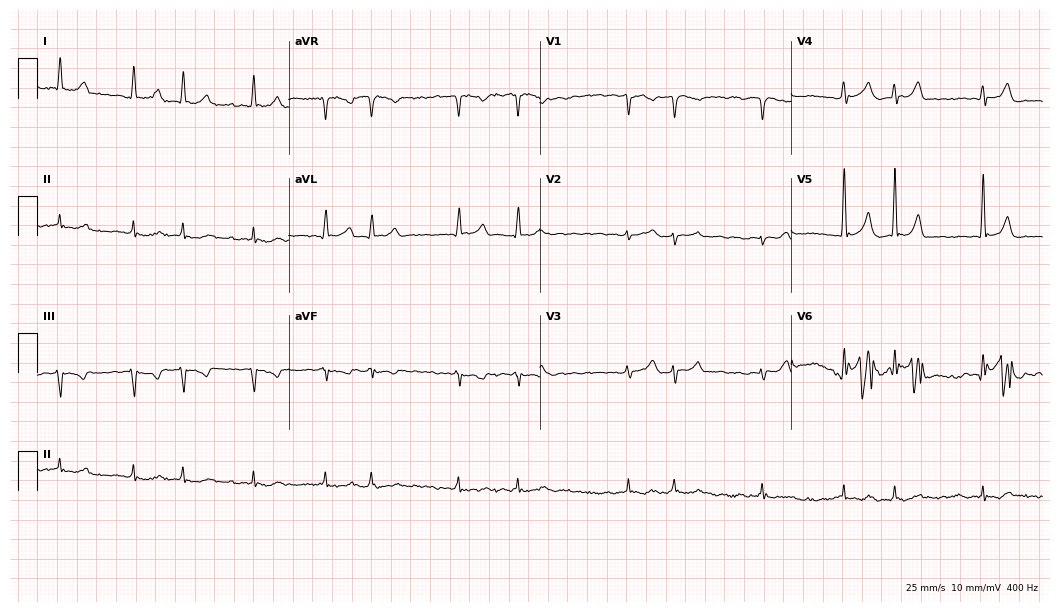
Resting 12-lead electrocardiogram. Patient: a female, 77 years old. The tracing shows atrial fibrillation.